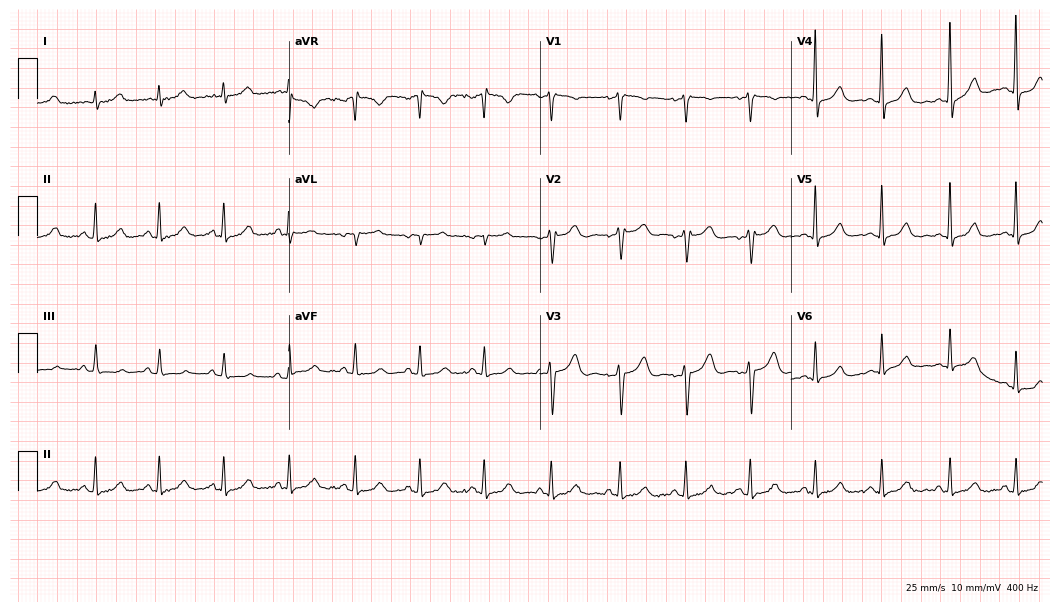
12-lead ECG from a female patient, 42 years old (10.2-second recording at 400 Hz). Recorded interpretation: within normal limits.